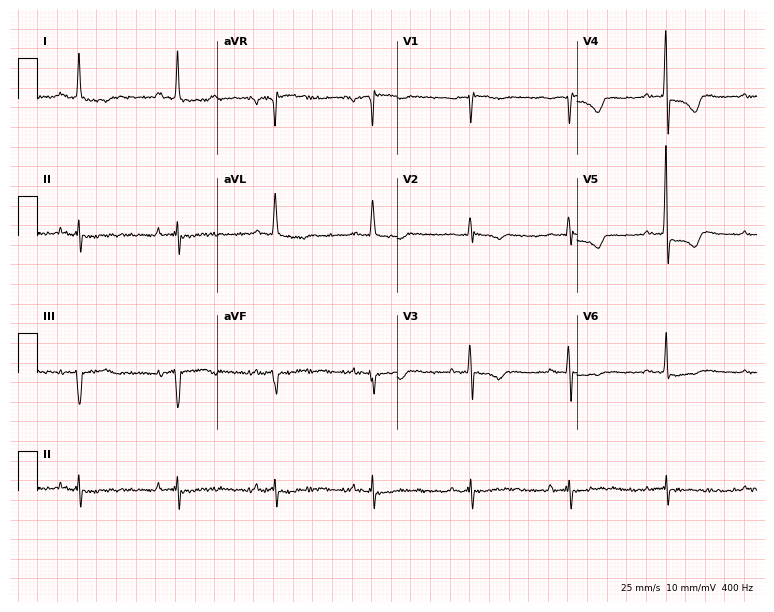
12-lead ECG from a male, 67 years old. No first-degree AV block, right bundle branch block, left bundle branch block, sinus bradycardia, atrial fibrillation or sinus tachycardia recorded for this tracing. Other findings, if any, are not listed.